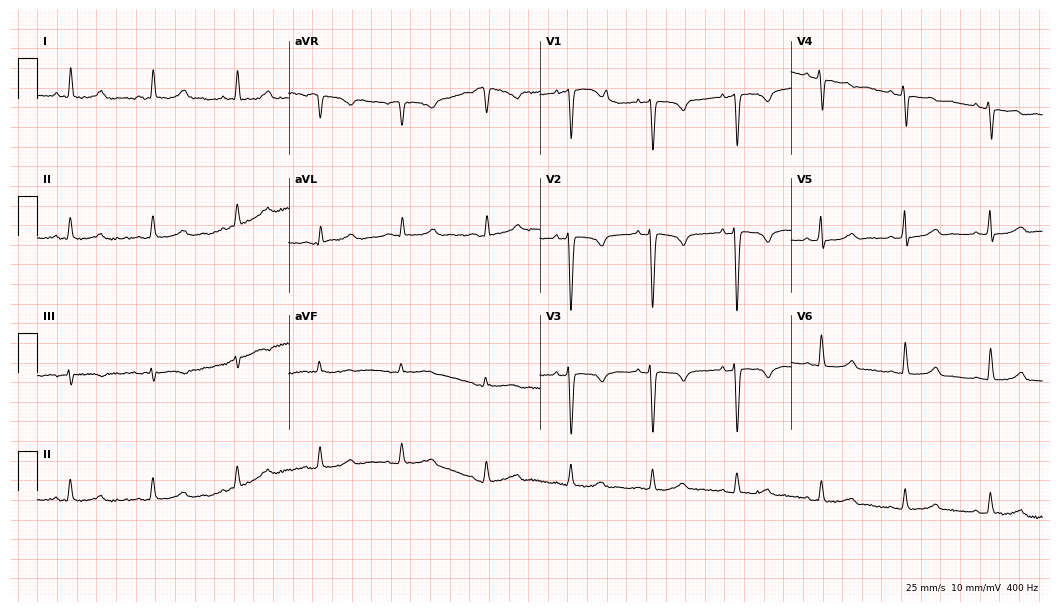
Electrocardiogram (10.2-second recording at 400 Hz), a 73-year-old female patient. Of the six screened findings (first-degree AV block, right bundle branch block (RBBB), left bundle branch block (LBBB), sinus bradycardia, atrial fibrillation (AF), sinus tachycardia), none is recorded.